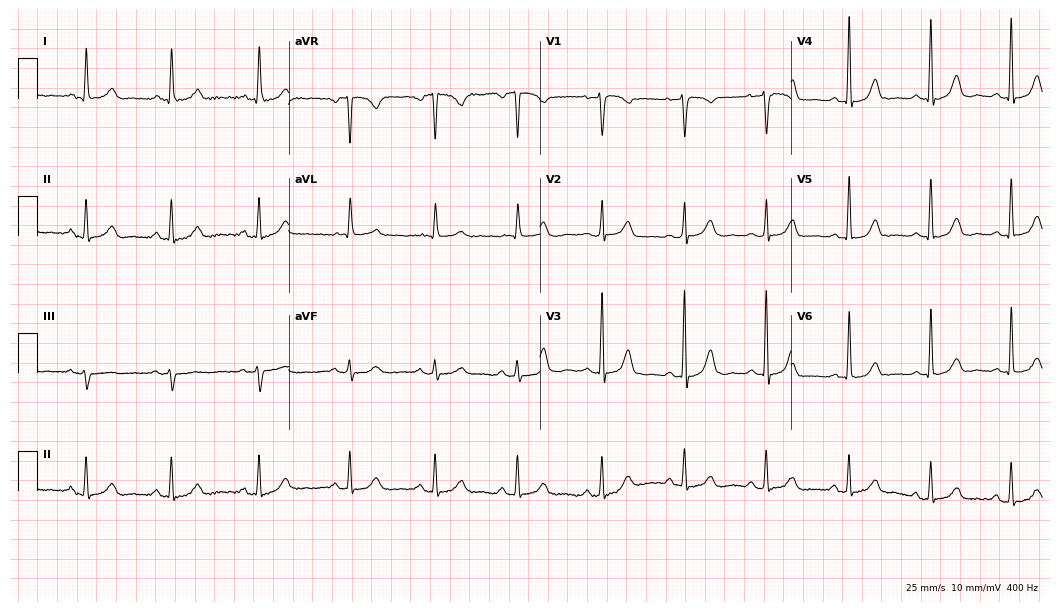
12-lead ECG from a 56-year-old female patient. No first-degree AV block, right bundle branch block (RBBB), left bundle branch block (LBBB), sinus bradycardia, atrial fibrillation (AF) or sinus tachycardia recorded for this tracing.